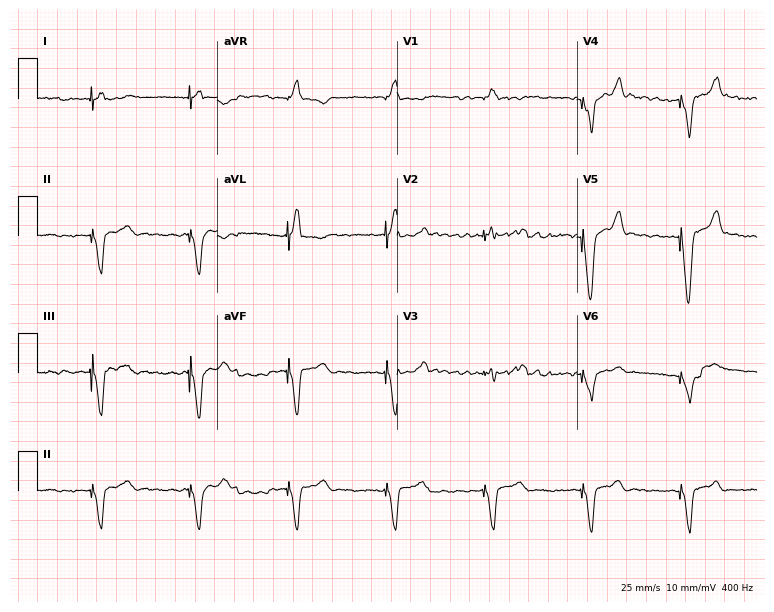
12-lead ECG from a male, 72 years old (7.3-second recording at 400 Hz). No first-degree AV block, right bundle branch block, left bundle branch block, sinus bradycardia, atrial fibrillation or sinus tachycardia recorded for this tracing. Other findings, if any, are not listed.